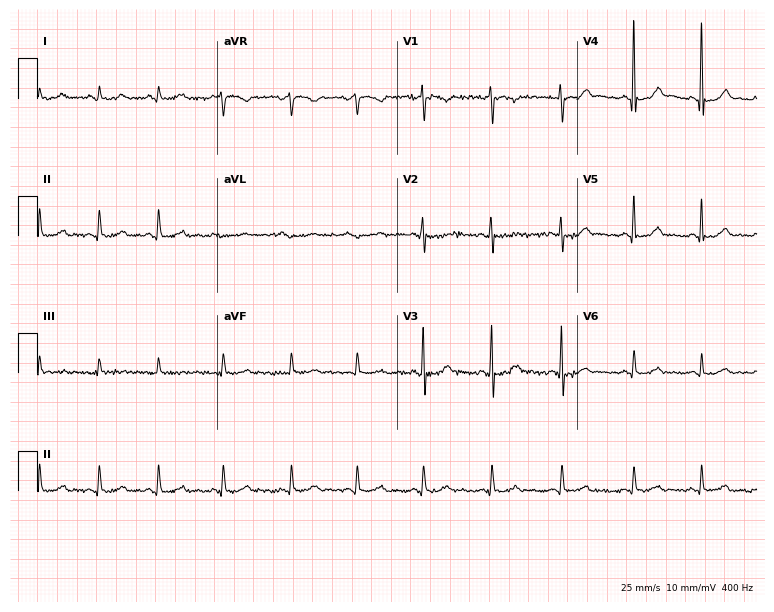
Electrocardiogram, a 30-year-old female patient. Of the six screened findings (first-degree AV block, right bundle branch block (RBBB), left bundle branch block (LBBB), sinus bradycardia, atrial fibrillation (AF), sinus tachycardia), none is recorded.